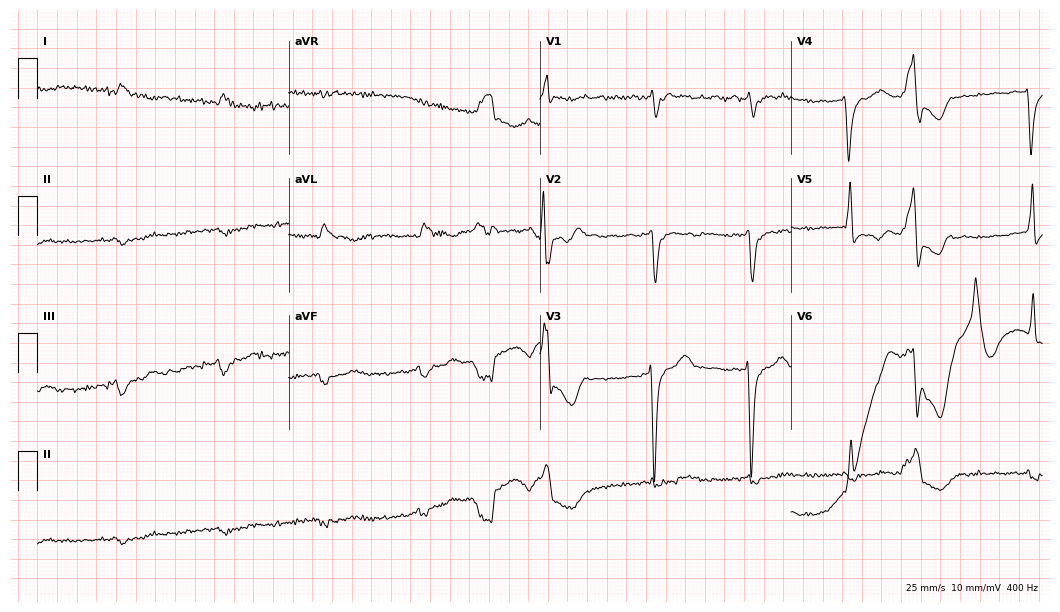
Electrocardiogram, a female, 69 years old. Of the six screened findings (first-degree AV block, right bundle branch block, left bundle branch block, sinus bradycardia, atrial fibrillation, sinus tachycardia), none is recorded.